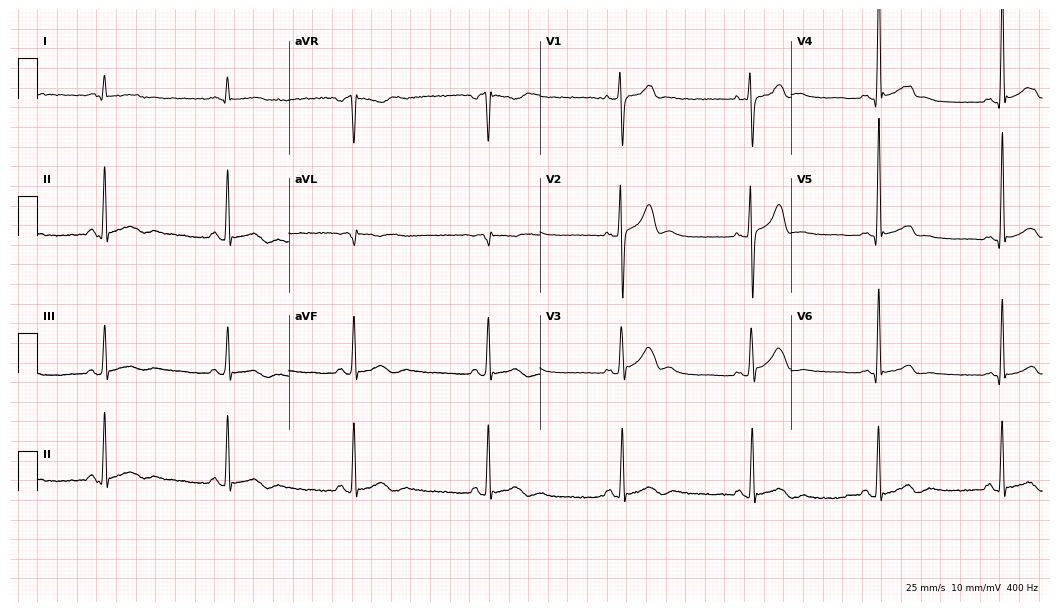
Standard 12-lead ECG recorded from an 18-year-old man. The tracing shows sinus bradycardia (a sinus rate of 50 beats per minute or less).